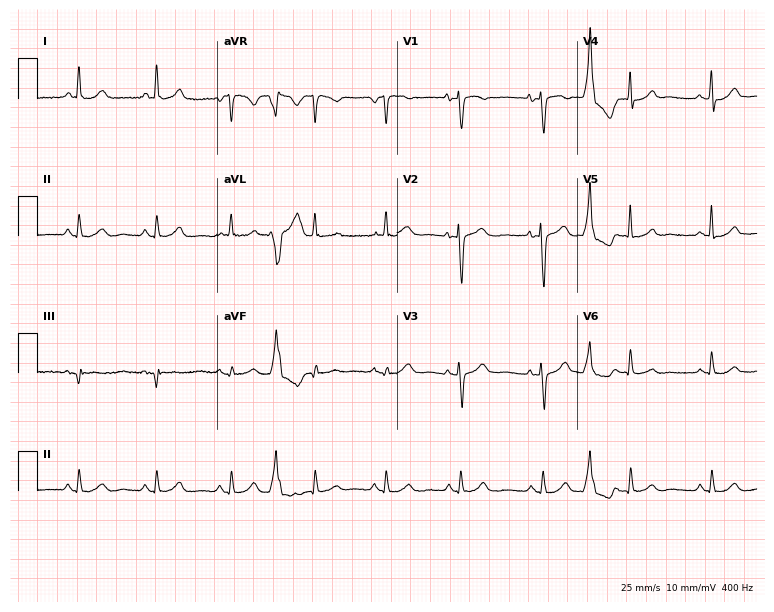
Electrocardiogram (7.3-second recording at 400 Hz), a woman, 62 years old. Of the six screened findings (first-degree AV block, right bundle branch block, left bundle branch block, sinus bradycardia, atrial fibrillation, sinus tachycardia), none is recorded. Findings outside these six are not listed.